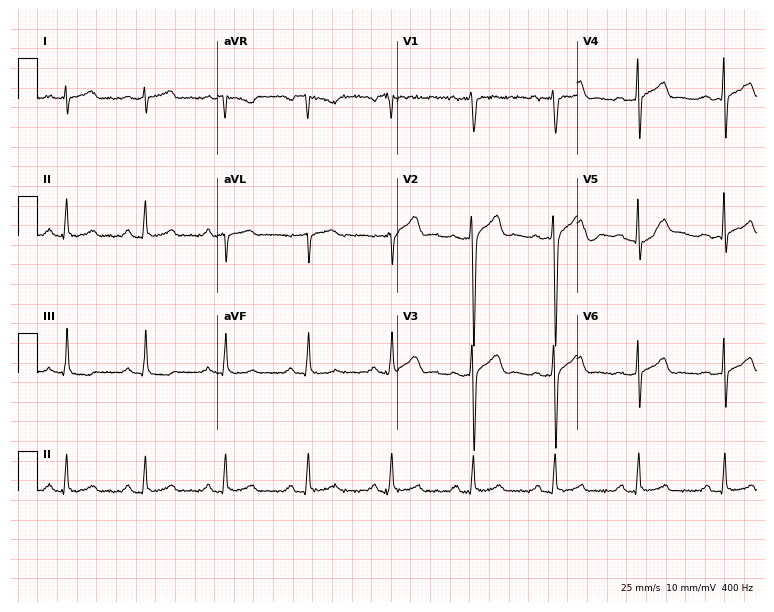
Standard 12-lead ECG recorded from a male, 42 years old. None of these six findings is recorded: first-degree AV block, right bundle branch block (RBBB), left bundle branch block (LBBB), sinus bradycardia, atrial fibrillation (AF), sinus tachycardia.